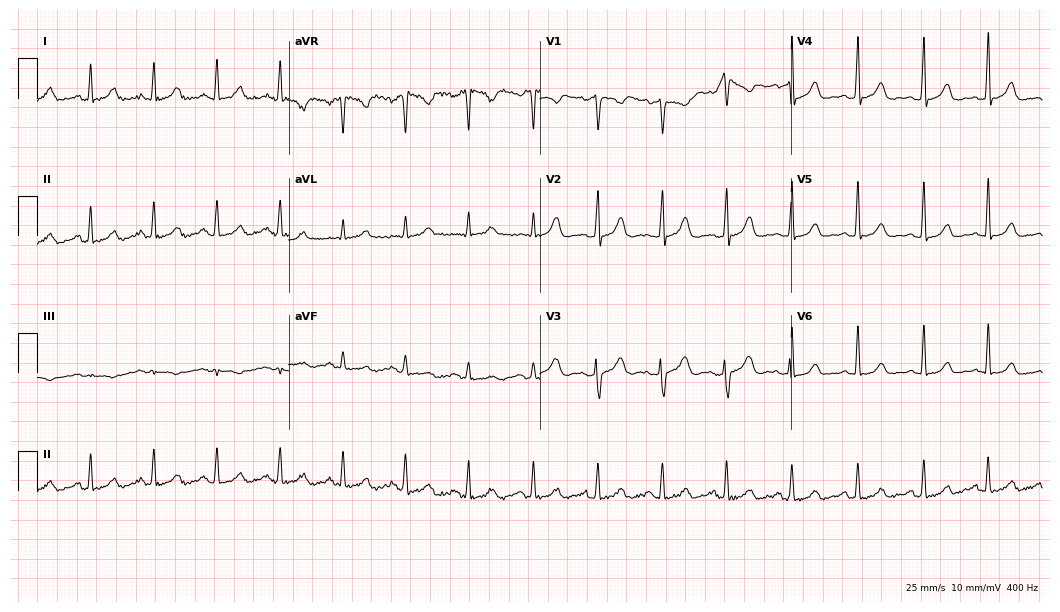
Electrocardiogram, a female patient, 40 years old. Overall reading on record: normal ECG.